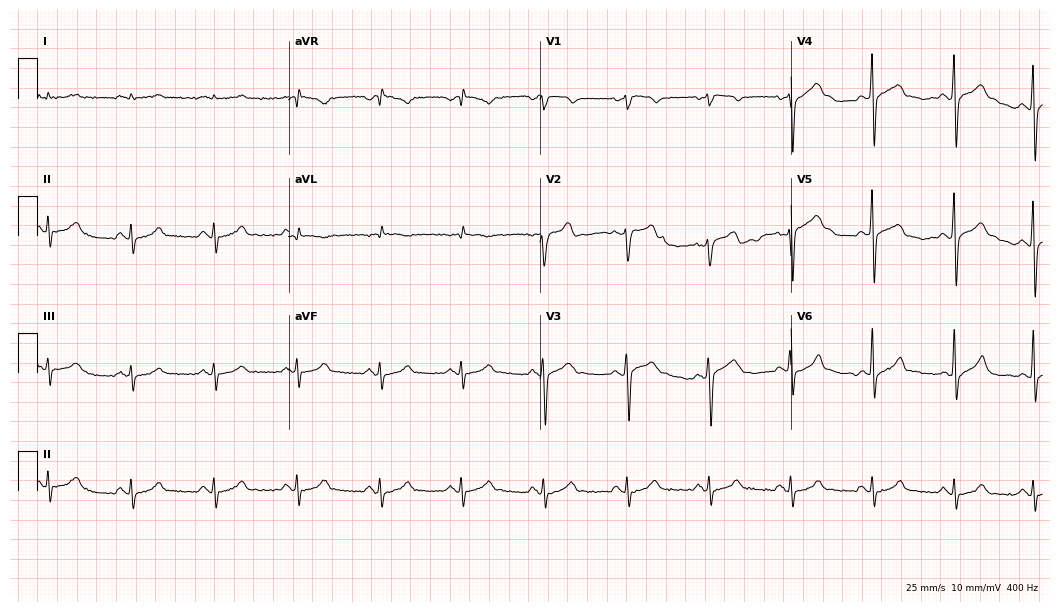
Electrocardiogram (10.2-second recording at 400 Hz), a 48-year-old man. Of the six screened findings (first-degree AV block, right bundle branch block, left bundle branch block, sinus bradycardia, atrial fibrillation, sinus tachycardia), none is recorded.